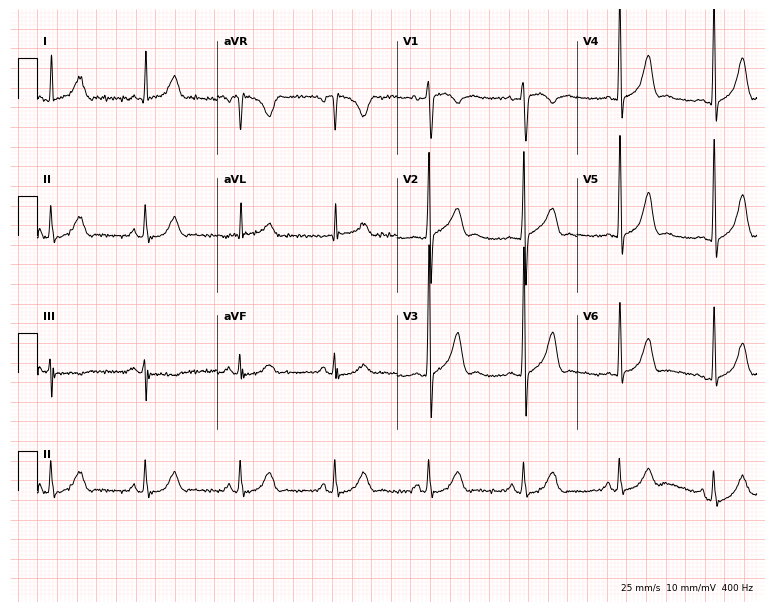
Resting 12-lead electrocardiogram (7.3-second recording at 400 Hz). Patient: a 43-year-old male. Read as a normal ECG.